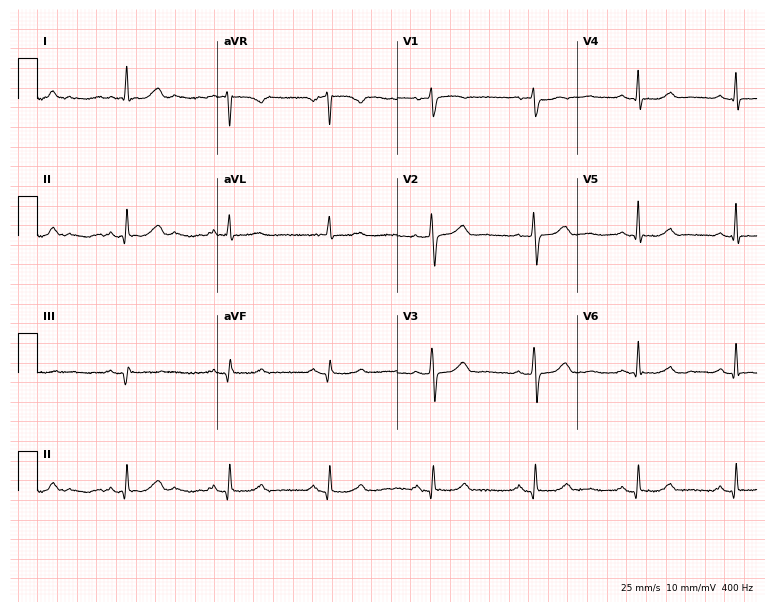
Standard 12-lead ECG recorded from a 63-year-old female. Read as a normal ECG.